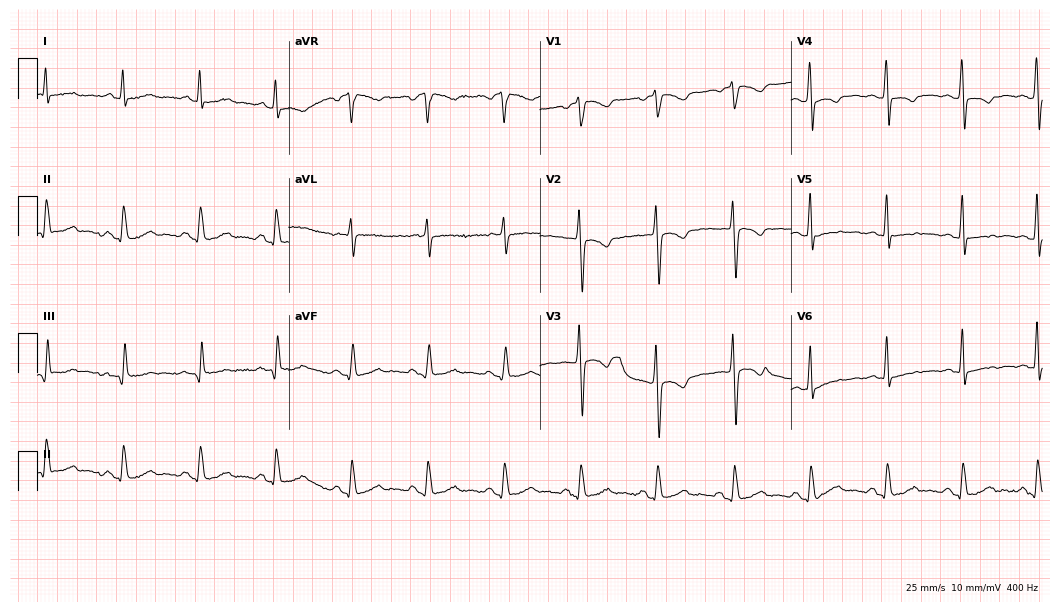
Electrocardiogram (10.2-second recording at 400 Hz), a woman, 49 years old. Of the six screened findings (first-degree AV block, right bundle branch block (RBBB), left bundle branch block (LBBB), sinus bradycardia, atrial fibrillation (AF), sinus tachycardia), none is recorded. Other findings, if any, are not listed.